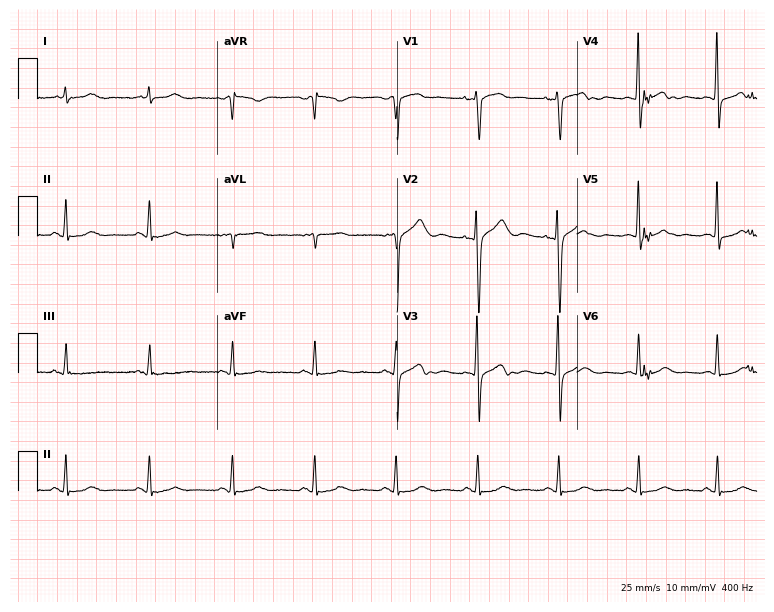
Resting 12-lead electrocardiogram (7.3-second recording at 400 Hz). Patient: a 63-year-old woman. Read as a normal ECG.